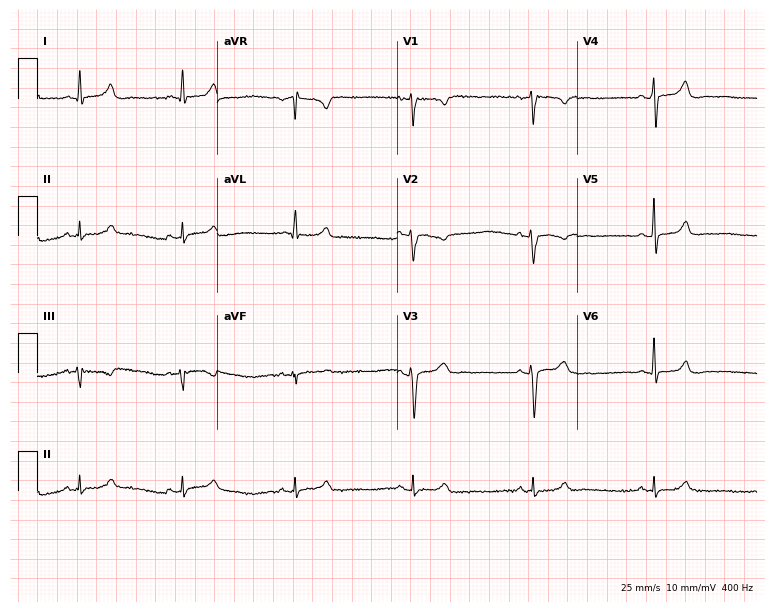
Electrocardiogram, a 37-year-old male. Overall reading on record: normal ECG.